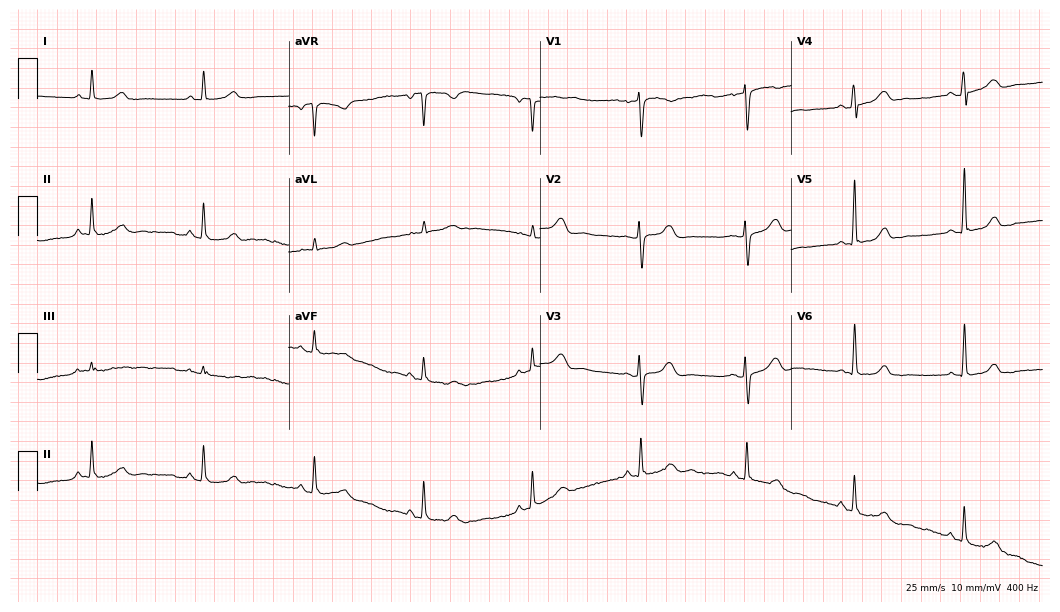
Standard 12-lead ECG recorded from a woman, 58 years old. Read as a normal ECG.